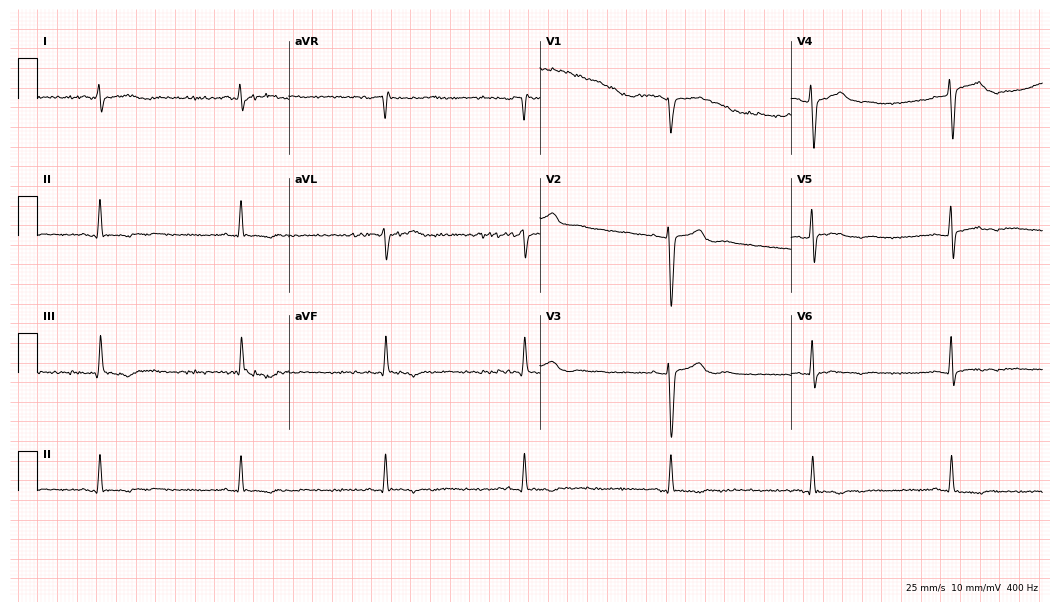
12-lead ECG from a male, 27 years old. Shows sinus bradycardia (a sinus rate of 50 beats per minute or less).